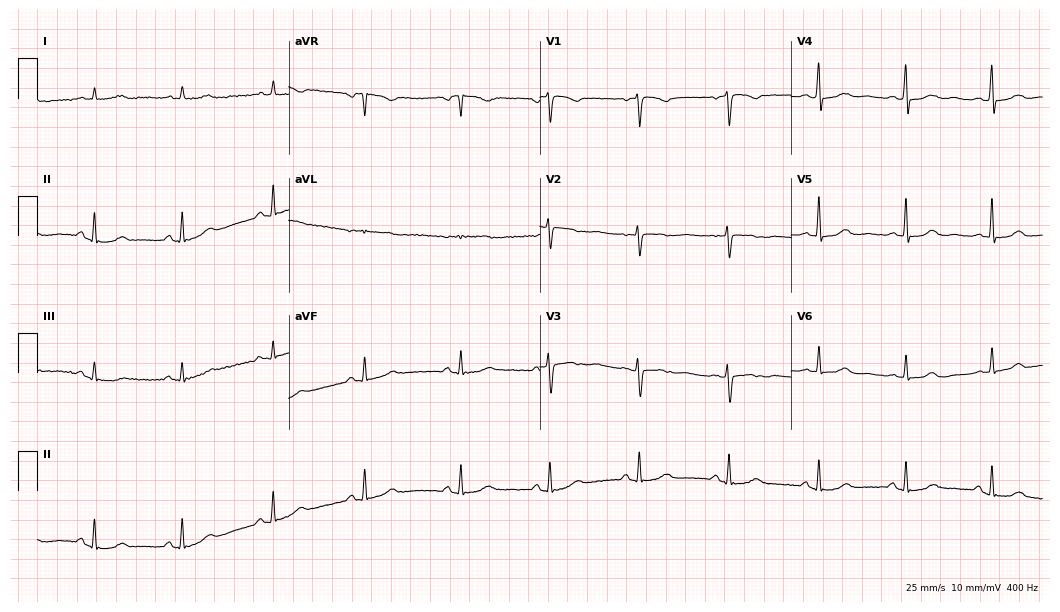
ECG (10.2-second recording at 400 Hz) — a woman, 44 years old. Screened for six findings — first-degree AV block, right bundle branch block, left bundle branch block, sinus bradycardia, atrial fibrillation, sinus tachycardia — none is recorded.